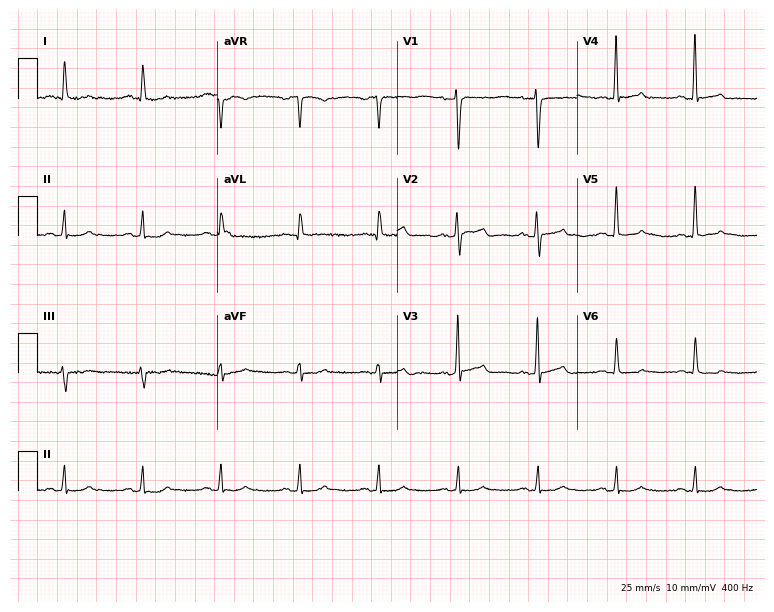
Standard 12-lead ECG recorded from a female, 59 years old. None of these six findings is recorded: first-degree AV block, right bundle branch block (RBBB), left bundle branch block (LBBB), sinus bradycardia, atrial fibrillation (AF), sinus tachycardia.